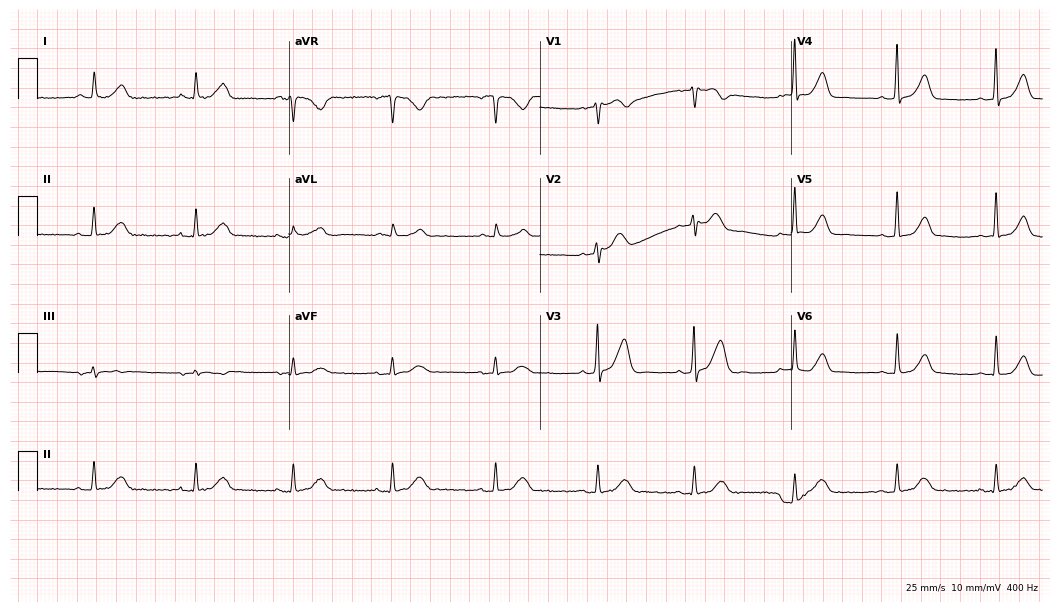
Standard 12-lead ECG recorded from a woman, 70 years old (10.2-second recording at 400 Hz). Read as a normal ECG.